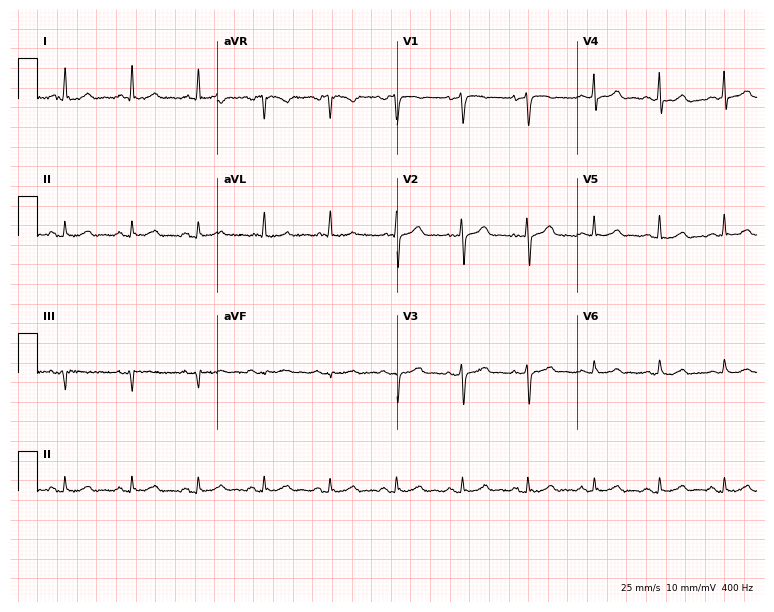
ECG (7.3-second recording at 400 Hz) — a woman, 70 years old. Labelled as a normal ECG.